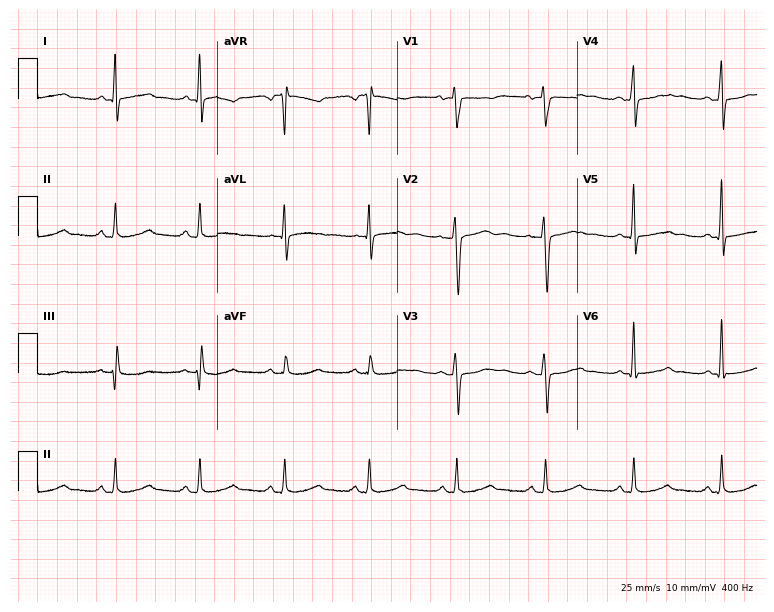
12-lead ECG (7.3-second recording at 400 Hz) from a female, 39 years old. Screened for six findings — first-degree AV block, right bundle branch block, left bundle branch block, sinus bradycardia, atrial fibrillation, sinus tachycardia — none is recorded.